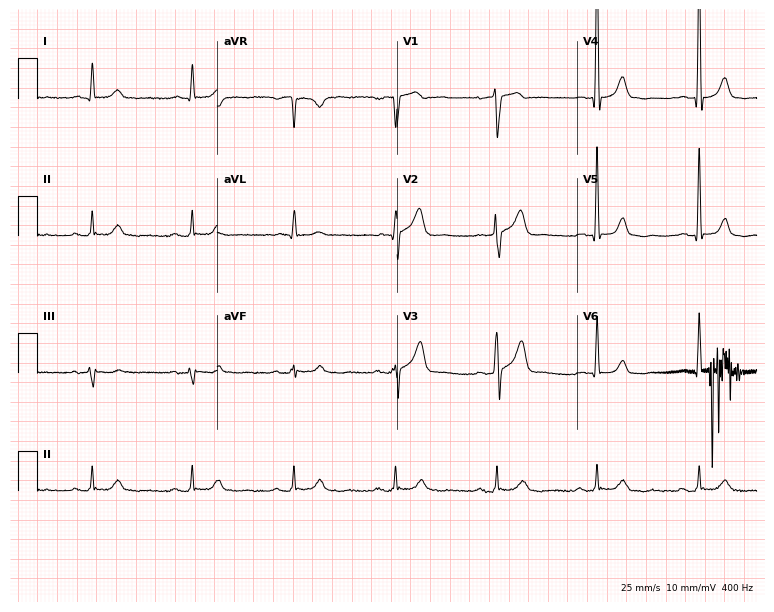
Electrocardiogram, a 62-year-old man. Of the six screened findings (first-degree AV block, right bundle branch block (RBBB), left bundle branch block (LBBB), sinus bradycardia, atrial fibrillation (AF), sinus tachycardia), none is recorded.